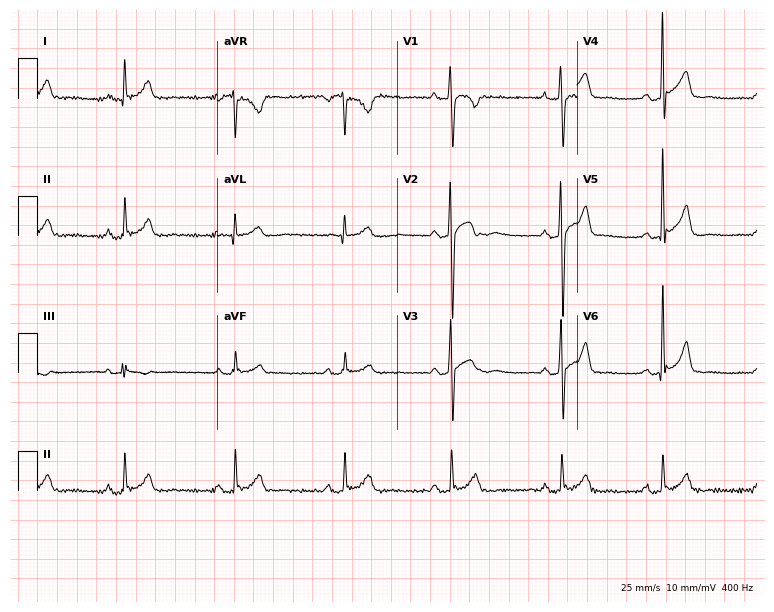
Resting 12-lead electrocardiogram (7.3-second recording at 400 Hz). Patient: a 29-year-old man. None of these six findings is recorded: first-degree AV block, right bundle branch block, left bundle branch block, sinus bradycardia, atrial fibrillation, sinus tachycardia. Other findings, if any, are not listed.